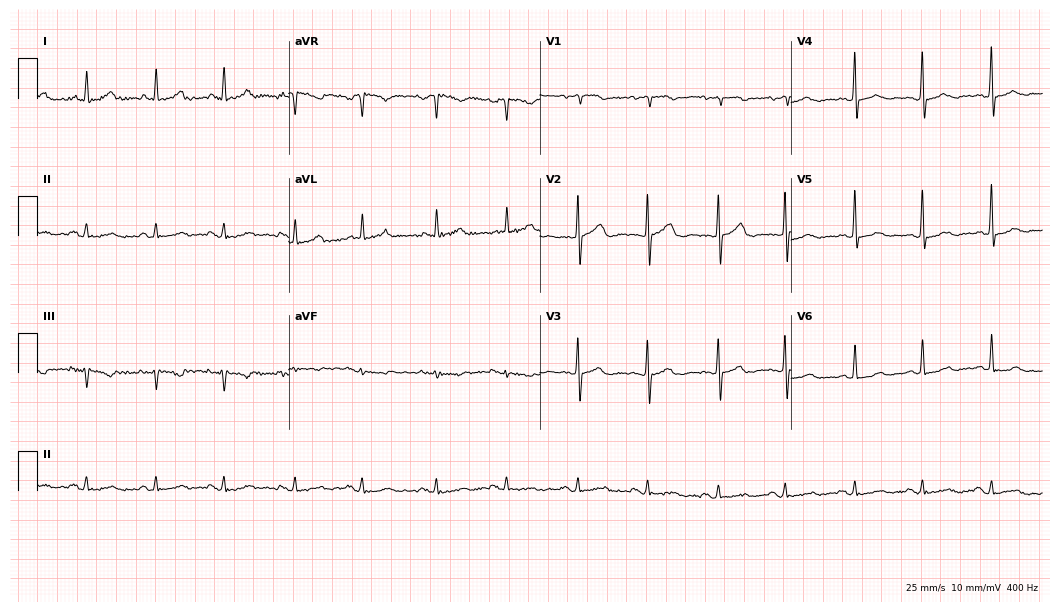
Standard 12-lead ECG recorded from a 75-year-old female patient. Read as a normal ECG.